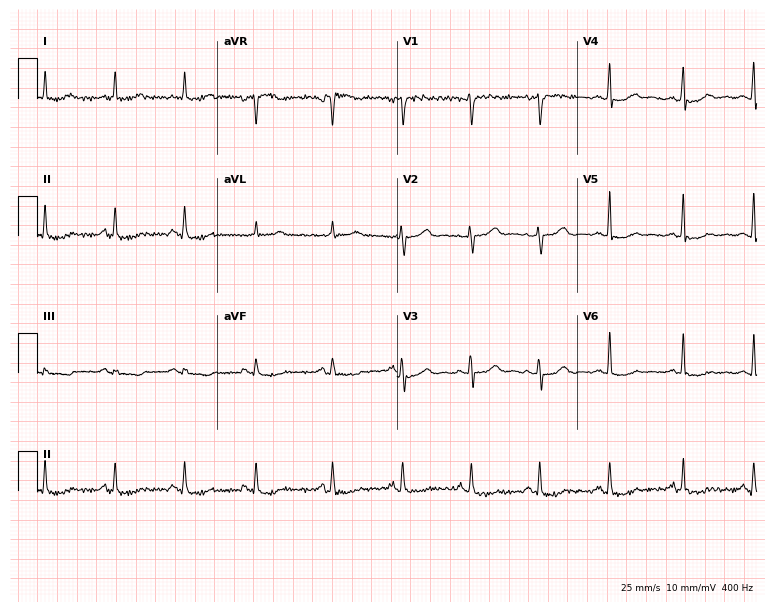
ECG — a female patient, 43 years old. Screened for six findings — first-degree AV block, right bundle branch block (RBBB), left bundle branch block (LBBB), sinus bradycardia, atrial fibrillation (AF), sinus tachycardia — none is recorded. Other findings, if any, are not listed.